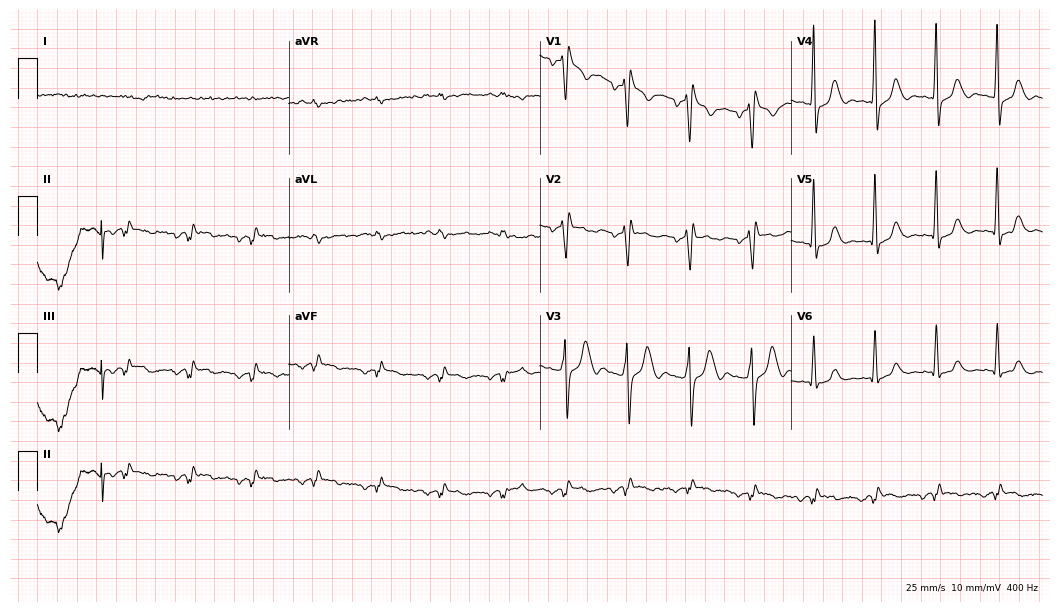
Standard 12-lead ECG recorded from a male, 51 years old. None of these six findings is recorded: first-degree AV block, right bundle branch block (RBBB), left bundle branch block (LBBB), sinus bradycardia, atrial fibrillation (AF), sinus tachycardia.